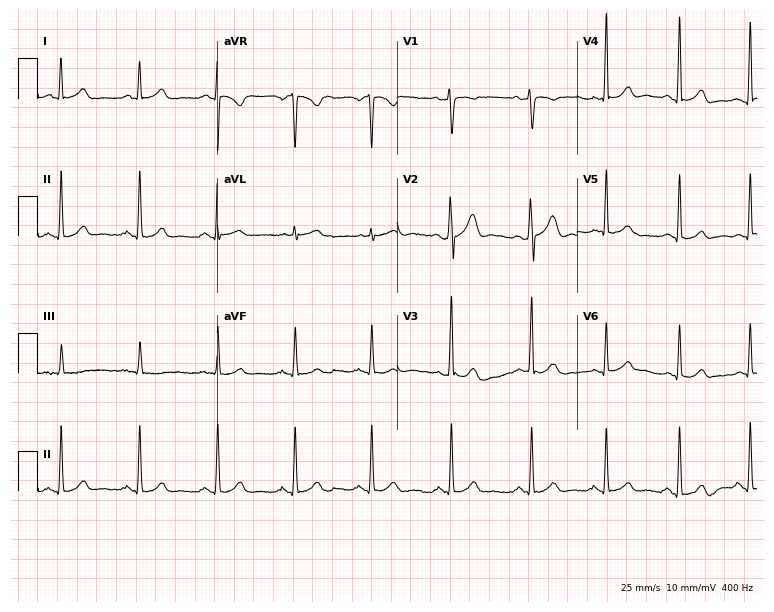
12-lead ECG (7.3-second recording at 400 Hz) from a male, 30 years old. Labelled as a normal ECG.